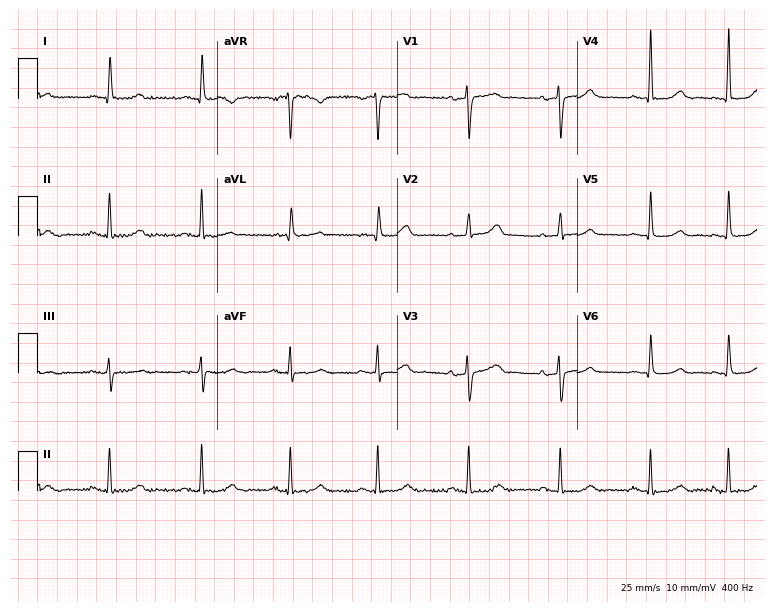
ECG — a female, 67 years old. Screened for six findings — first-degree AV block, right bundle branch block (RBBB), left bundle branch block (LBBB), sinus bradycardia, atrial fibrillation (AF), sinus tachycardia — none is recorded. Other findings, if any, are not listed.